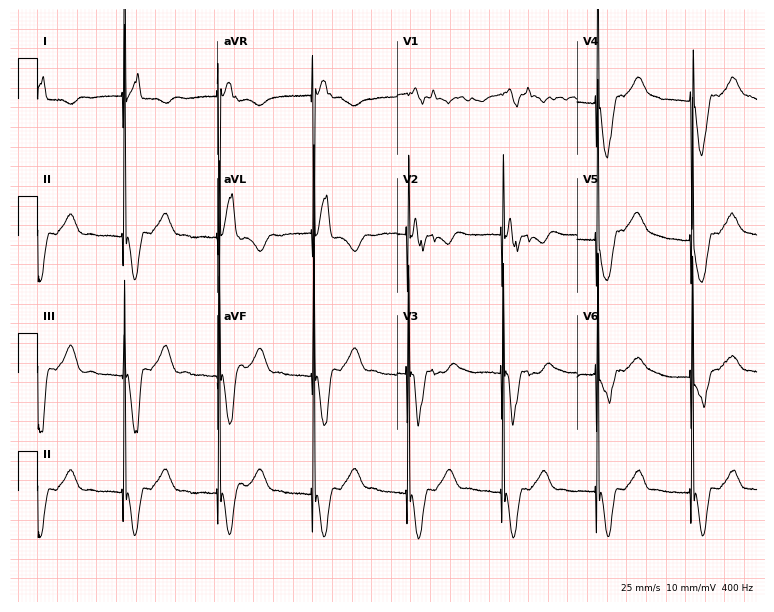
Standard 12-lead ECG recorded from a woman, 69 years old. None of these six findings is recorded: first-degree AV block, right bundle branch block (RBBB), left bundle branch block (LBBB), sinus bradycardia, atrial fibrillation (AF), sinus tachycardia. Only these six findings were labelled.